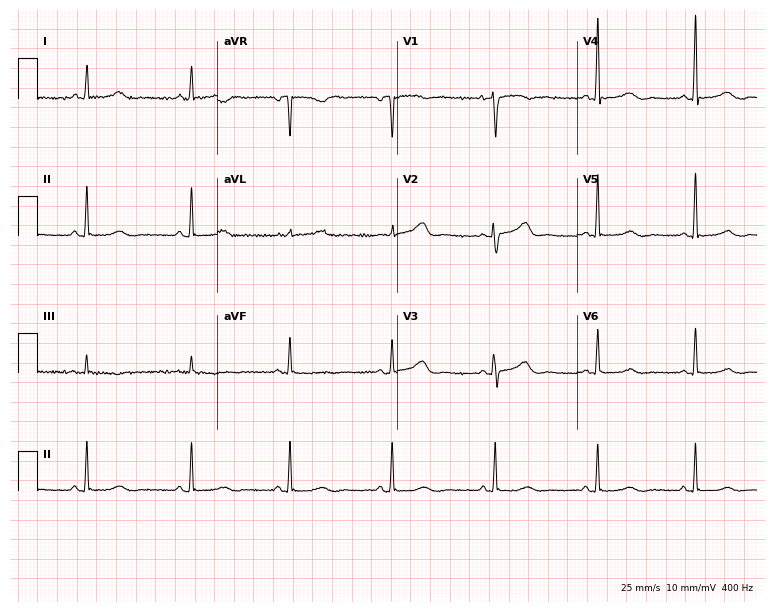
ECG — a 53-year-old female patient. Screened for six findings — first-degree AV block, right bundle branch block, left bundle branch block, sinus bradycardia, atrial fibrillation, sinus tachycardia — none is recorded.